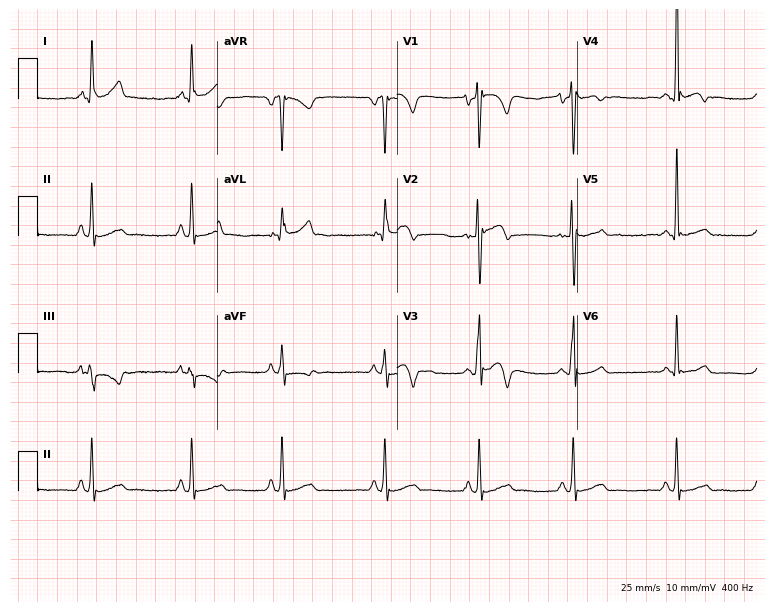
ECG — a 20-year-old male patient. Screened for six findings — first-degree AV block, right bundle branch block, left bundle branch block, sinus bradycardia, atrial fibrillation, sinus tachycardia — none is recorded.